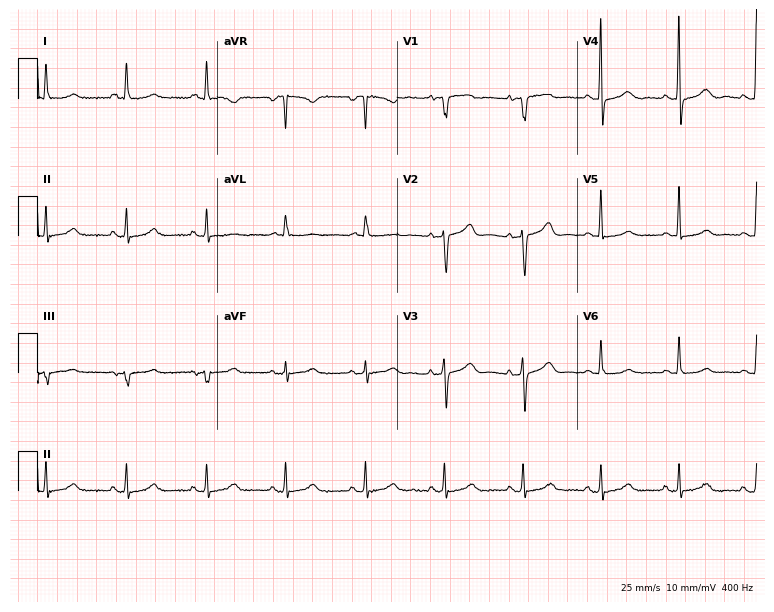
Standard 12-lead ECG recorded from a female patient, 78 years old. Read as a normal ECG.